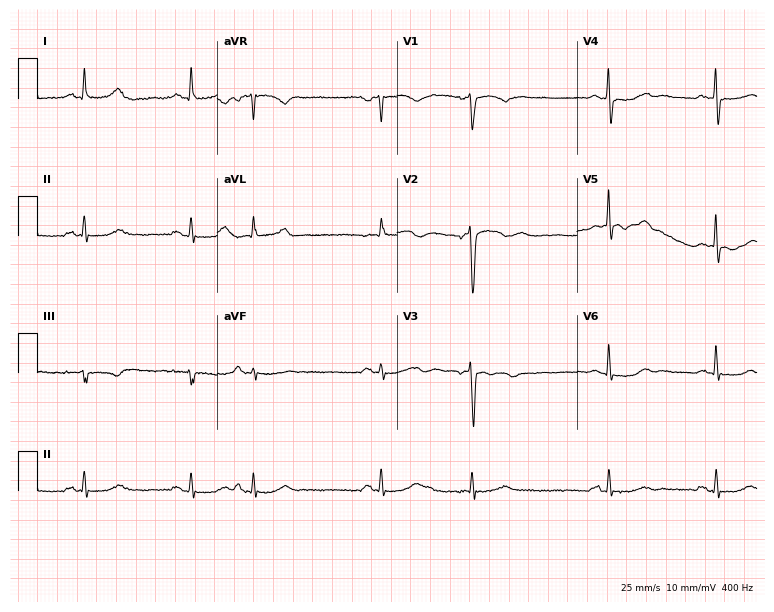
Standard 12-lead ECG recorded from a man, 72 years old. None of these six findings is recorded: first-degree AV block, right bundle branch block, left bundle branch block, sinus bradycardia, atrial fibrillation, sinus tachycardia. Other findings, if any, are not listed.